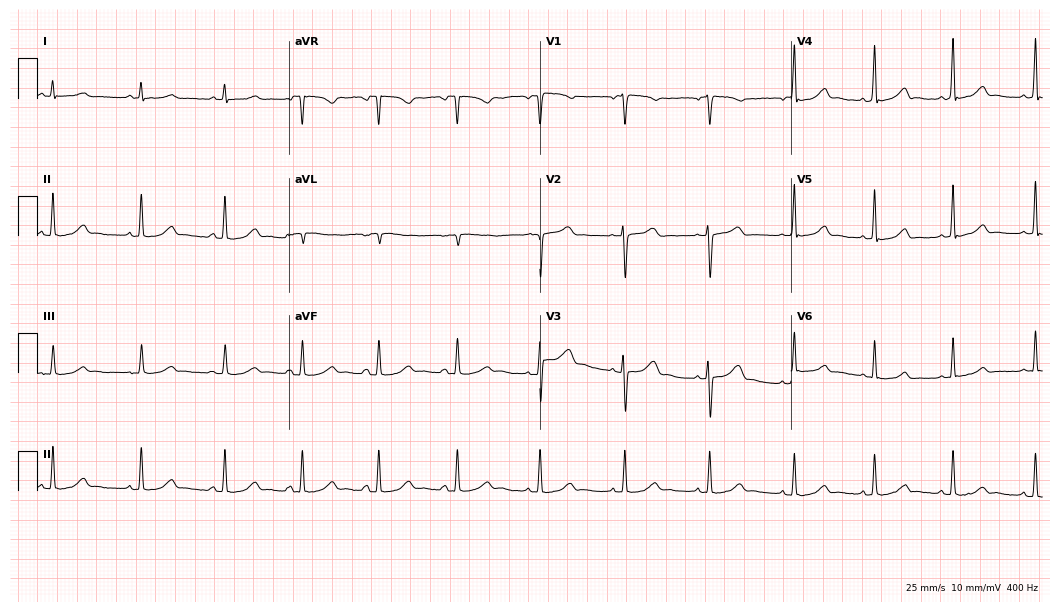
ECG — a 33-year-old female. Labelled as a normal ECG.